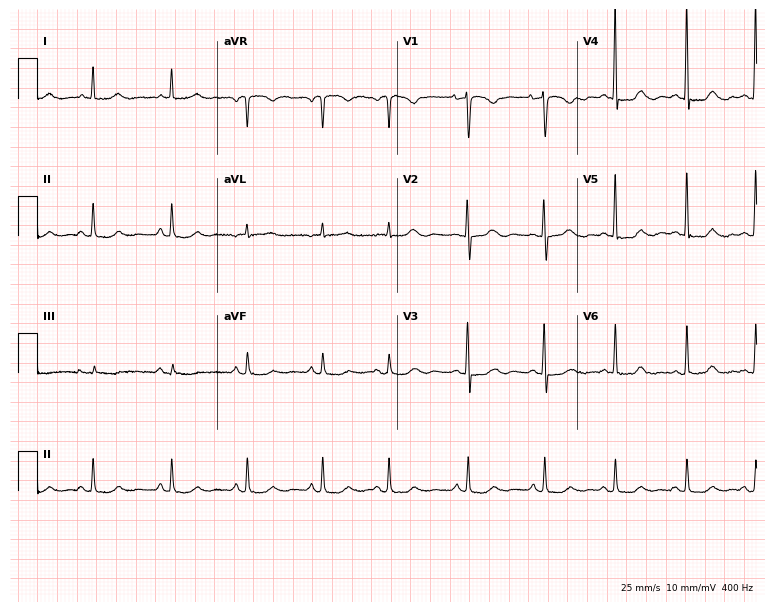
12-lead ECG from a 69-year-old female (7.3-second recording at 400 Hz). No first-degree AV block, right bundle branch block (RBBB), left bundle branch block (LBBB), sinus bradycardia, atrial fibrillation (AF) or sinus tachycardia recorded for this tracing. Other findings, if any, are not listed.